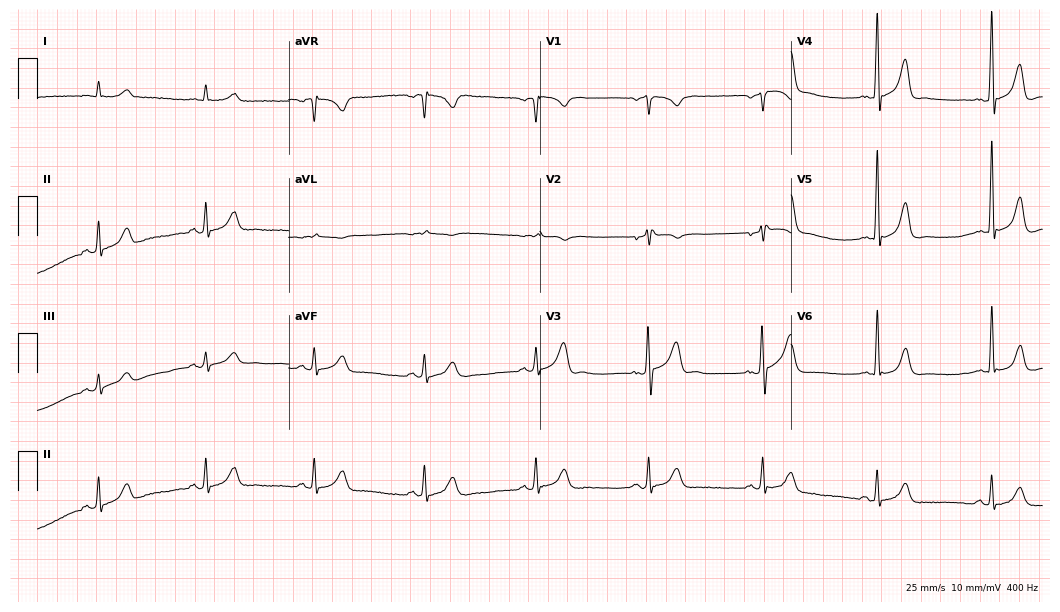
12-lead ECG from a 76-year-old man. Labelled as a normal ECG.